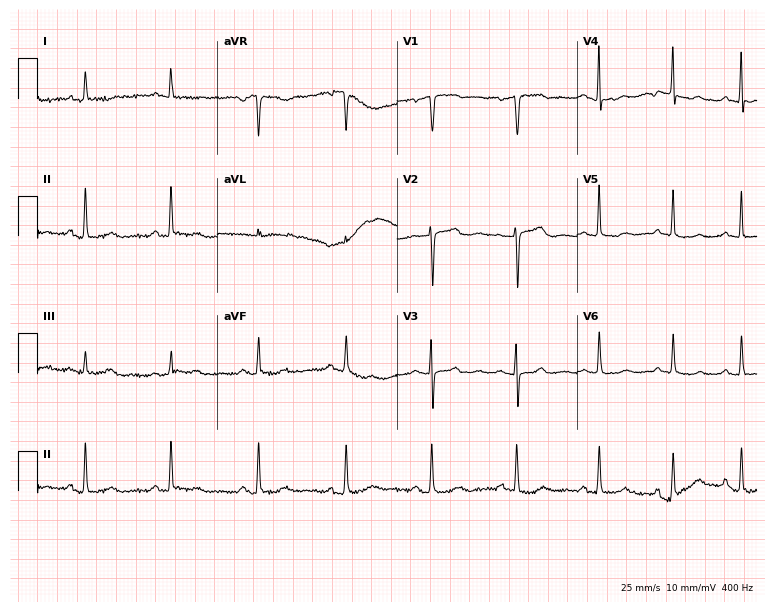
Electrocardiogram, a woman, 60 years old. Of the six screened findings (first-degree AV block, right bundle branch block, left bundle branch block, sinus bradycardia, atrial fibrillation, sinus tachycardia), none is recorded.